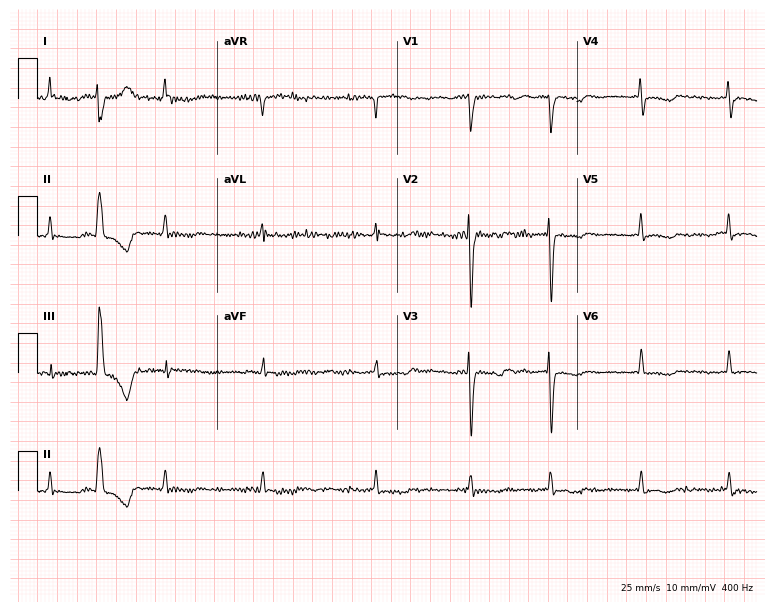
ECG (7.3-second recording at 400 Hz) — a 62-year-old female. Screened for six findings — first-degree AV block, right bundle branch block, left bundle branch block, sinus bradycardia, atrial fibrillation, sinus tachycardia — none is recorded. Other findings, if any, are not listed.